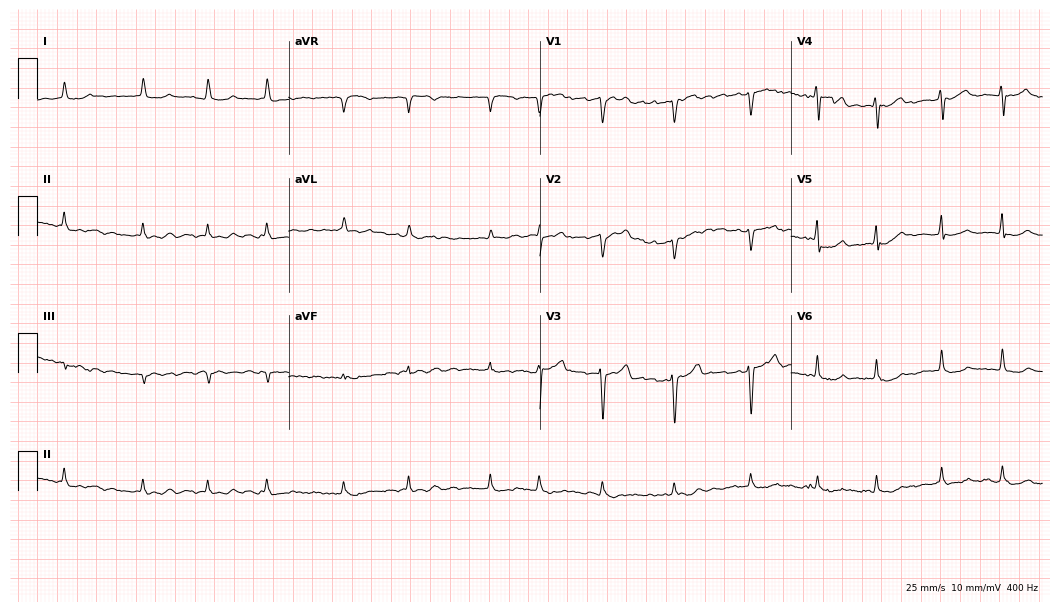
Electrocardiogram (10.2-second recording at 400 Hz), a man, 56 years old. Interpretation includes atrial fibrillation.